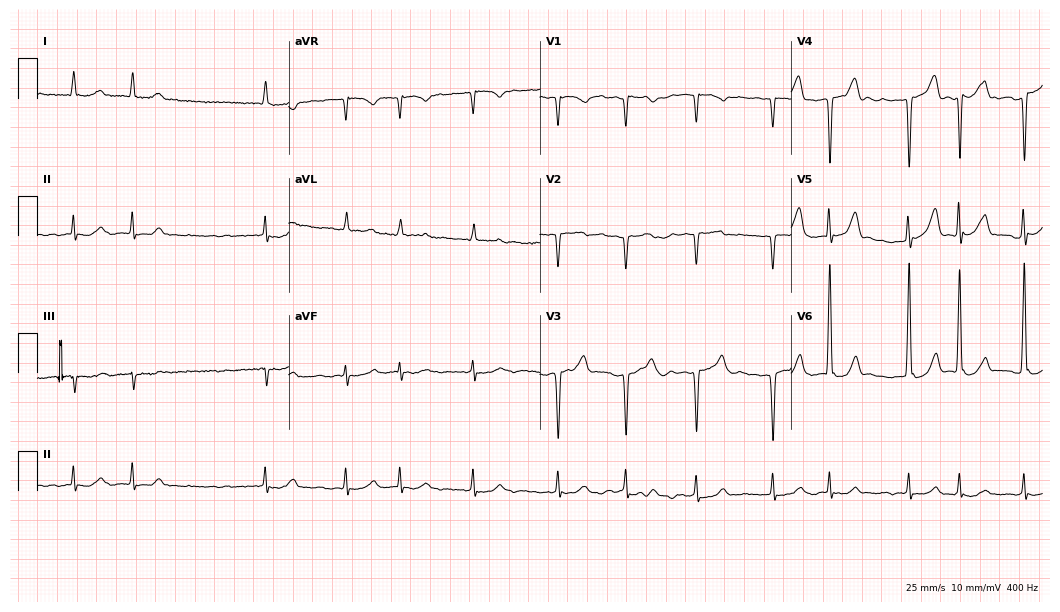
Electrocardiogram (10.2-second recording at 400 Hz), a 78-year-old male. Interpretation includes atrial fibrillation (AF).